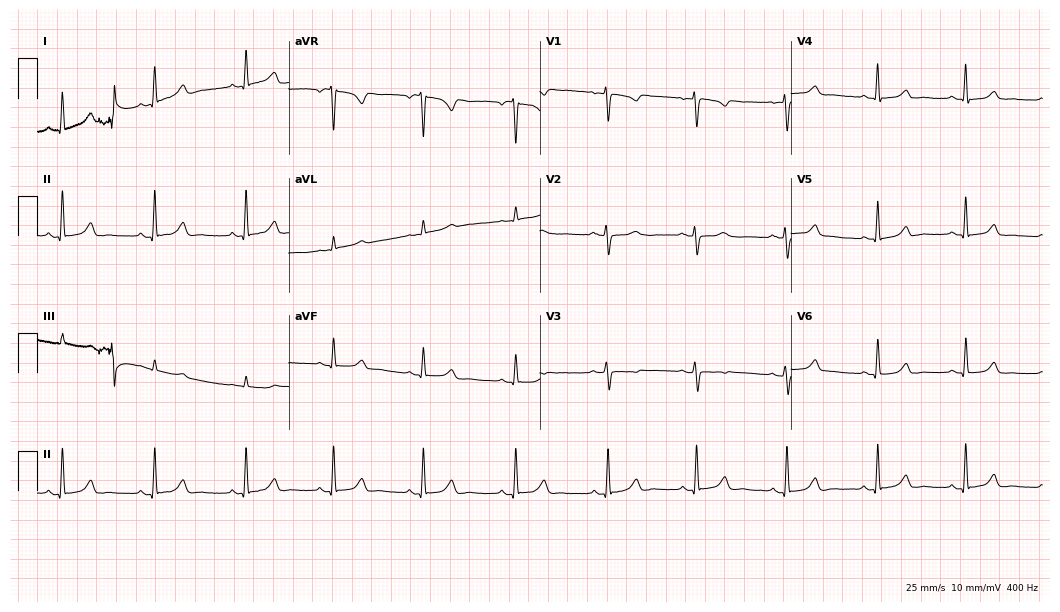
Electrocardiogram, a female patient, 42 years old. Overall reading on record: normal ECG.